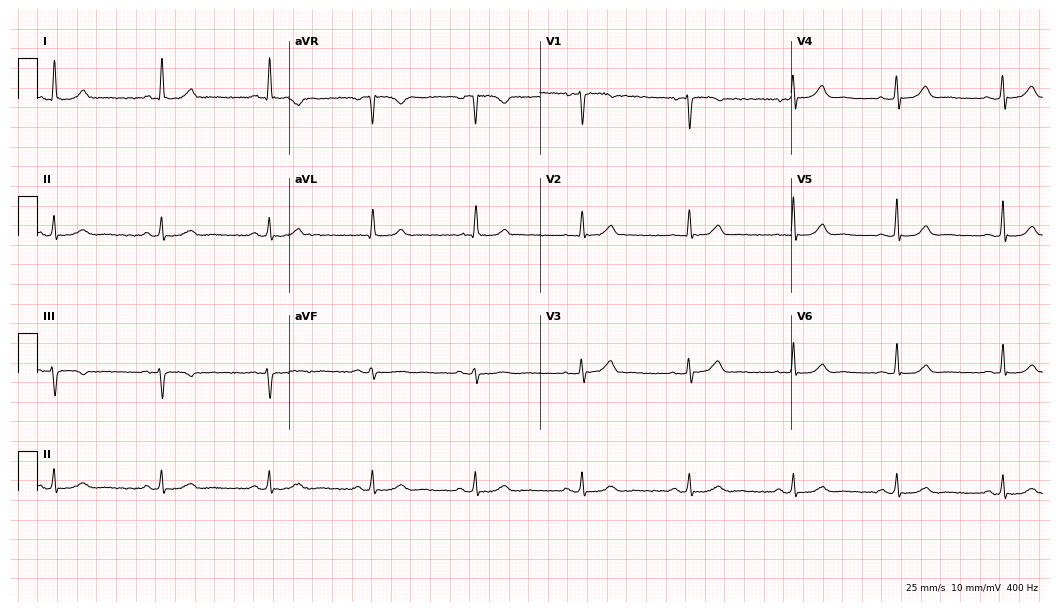
Standard 12-lead ECG recorded from a 54-year-old female (10.2-second recording at 400 Hz). Read as a normal ECG.